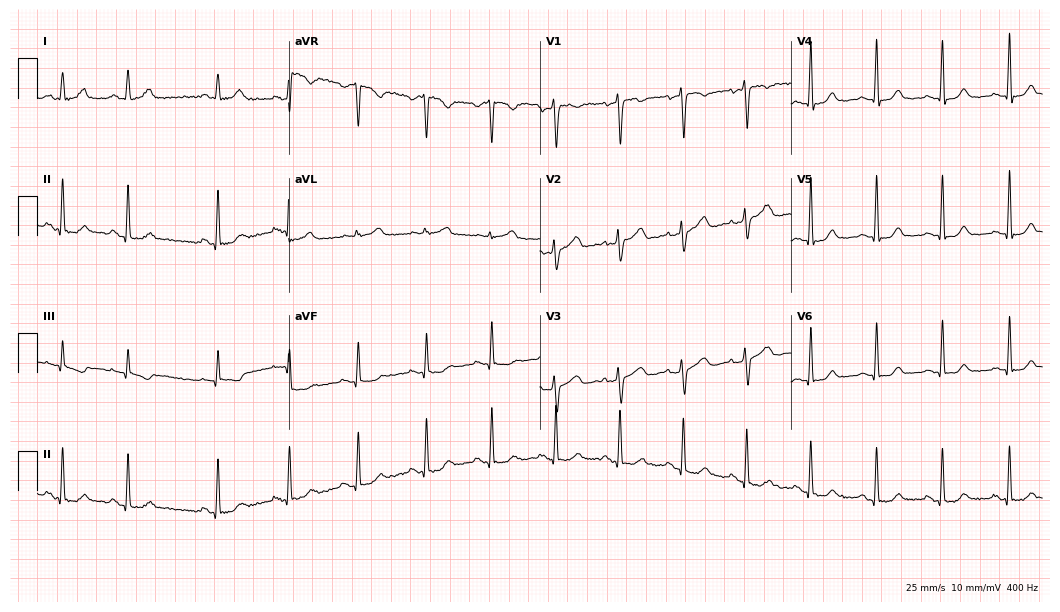
ECG — a 41-year-old female patient. Screened for six findings — first-degree AV block, right bundle branch block, left bundle branch block, sinus bradycardia, atrial fibrillation, sinus tachycardia — none is recorded.